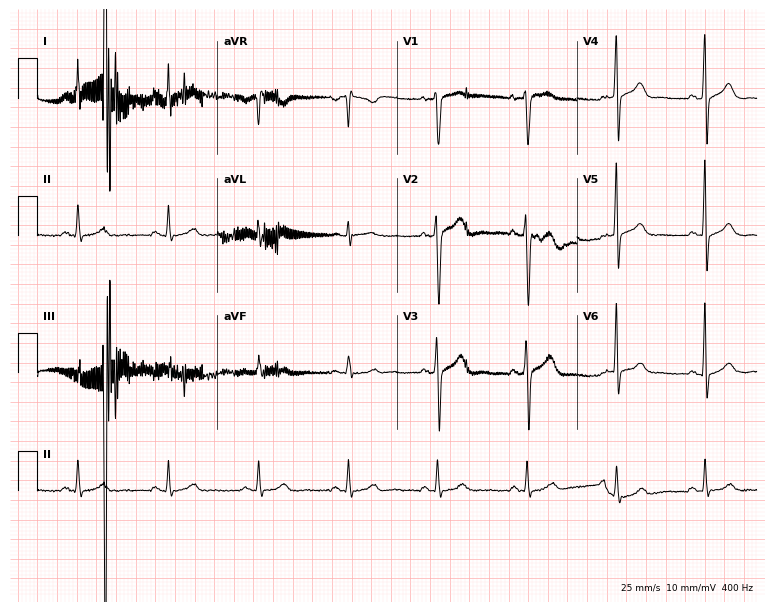
Electrocardiogram, a man, 55 years old. Of the six screened findings (first-degree AV block, right bundle branch block (RBBB), left bundle branch block (LBBB), sinus bradycardia, atrial fibrillation (AF), sinus tachycardia), none is recorded. Other findings, if any, are not listed.